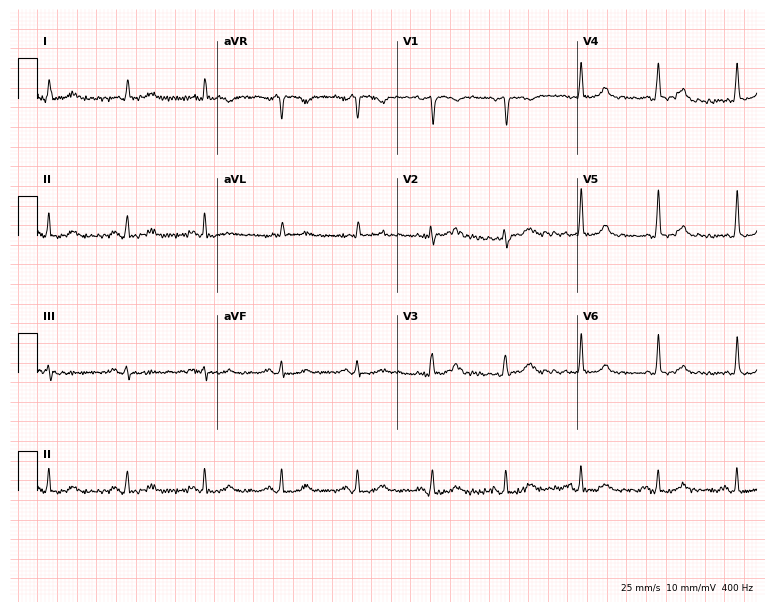
12-lead ECG (7.3-second recording at 400 Hz) from a 56-year-old female. Labelled as a normal ECG.